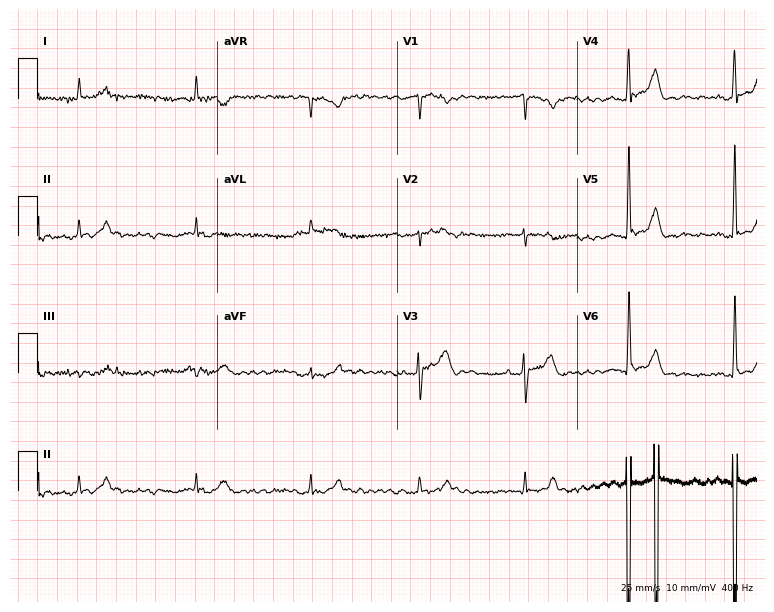
12-lead ECG from an 81-year-old male. Screened for six findings — first-degree AV block, right bundle branch block, left bundle branch block, sinus bradycardia, atrial fibrillation, sinus tachycardia — none is recorded. Other findings, if any, are not listed.